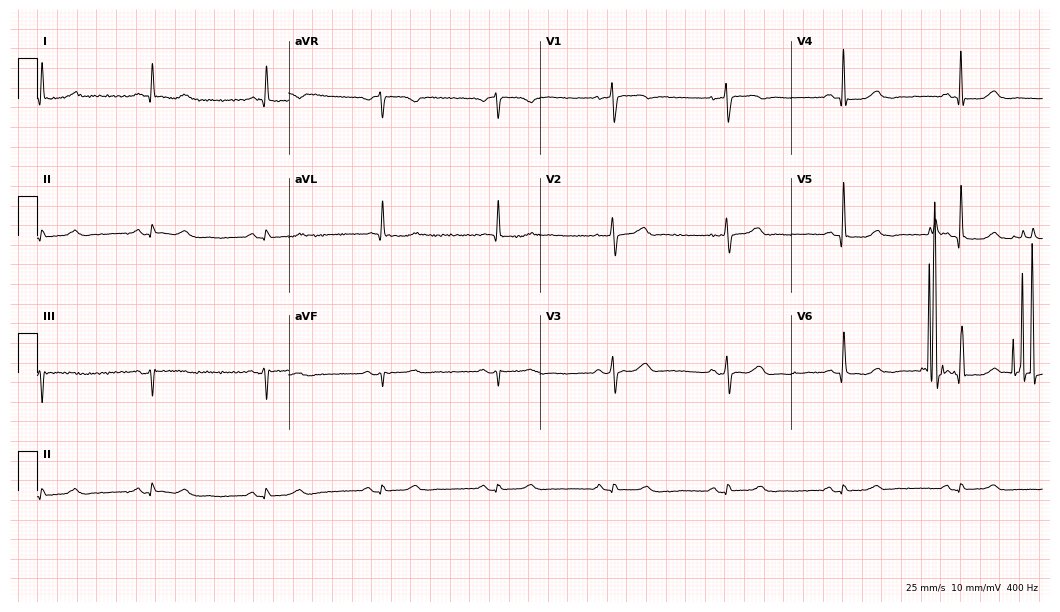
Electrocardiogram, a female patient, 85 years old. Of the six screened findings (first-degree AV block, right bundle branch block (RBBB), left bundle branch block (LBBB), sinus bradycardia, atrial fibrillation (AF), sinus tachycardia), none is recorded.